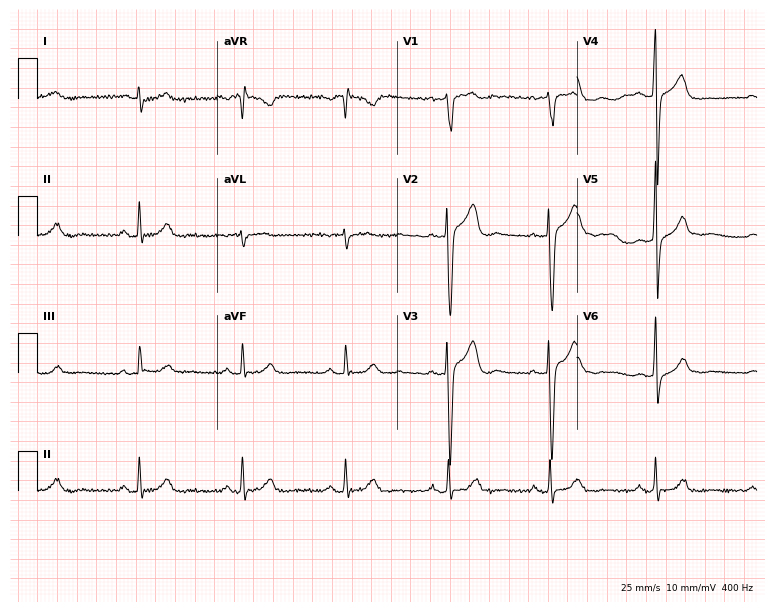
Standard 12-lead ECG recorded from a man, 46 years old. None of these six findings is recorded: first-degree AV block, right bundle branch block, left bundle branch block, sinus bradycardia, atrial fibrillation, sinus tachycardia.